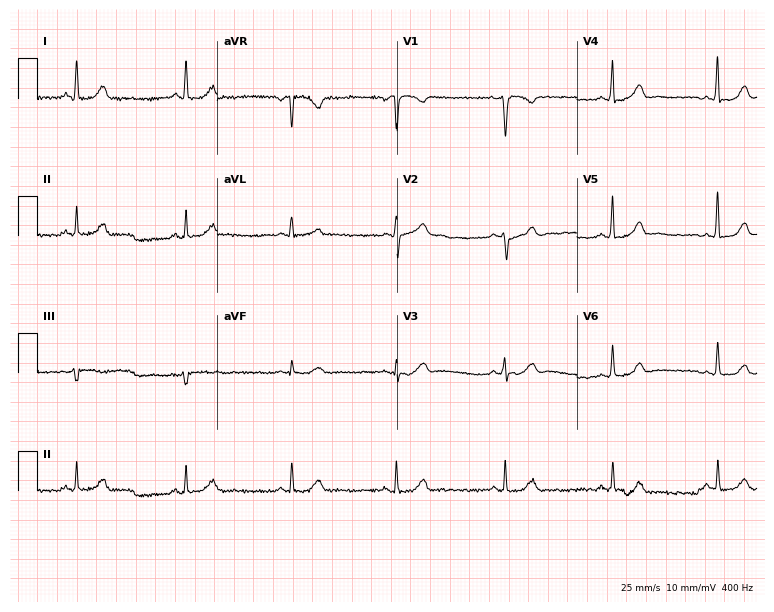
Electrocardiogram (7.3-second recording at 400 Hz), a 39-year-old female. Of the six screened findings (first-degree AV block, right bundle branch block, left bundle branch block, sinus bradycardia, atrial fibrillation, sinus tachycardia), none is recorded. Only these six findings were labelled.